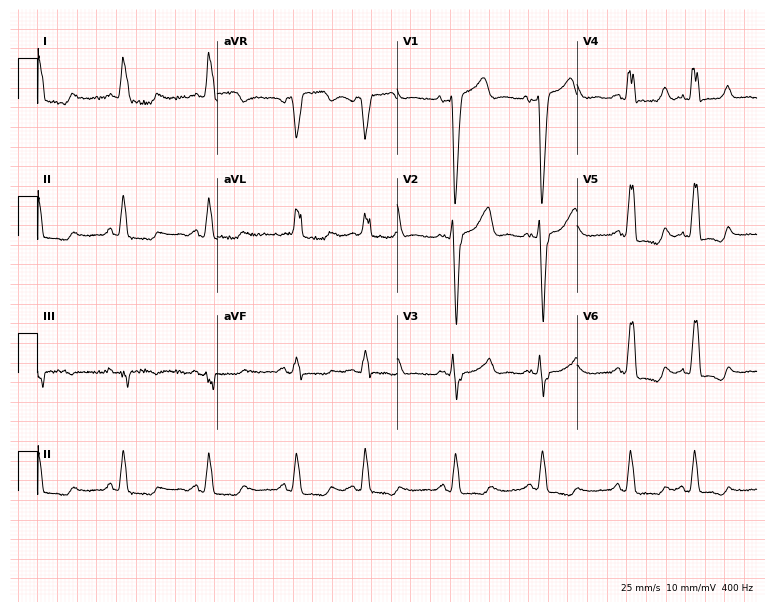
Standard 12-lead ECG recorded from a 79-year-old woman. The tracing shows left bundle branch block (LBBB).